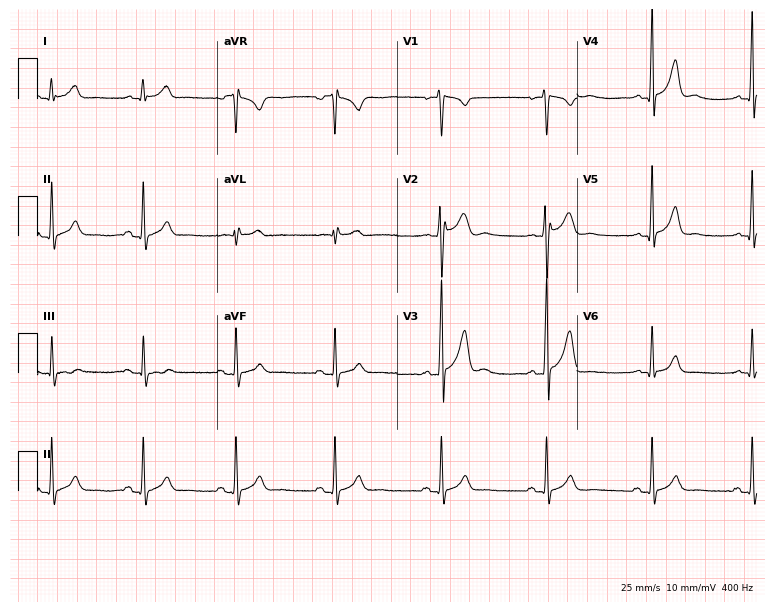
Resting 12-lead electrocardiogram. Patient: a male, 20 years old. Read as a normal ECG.